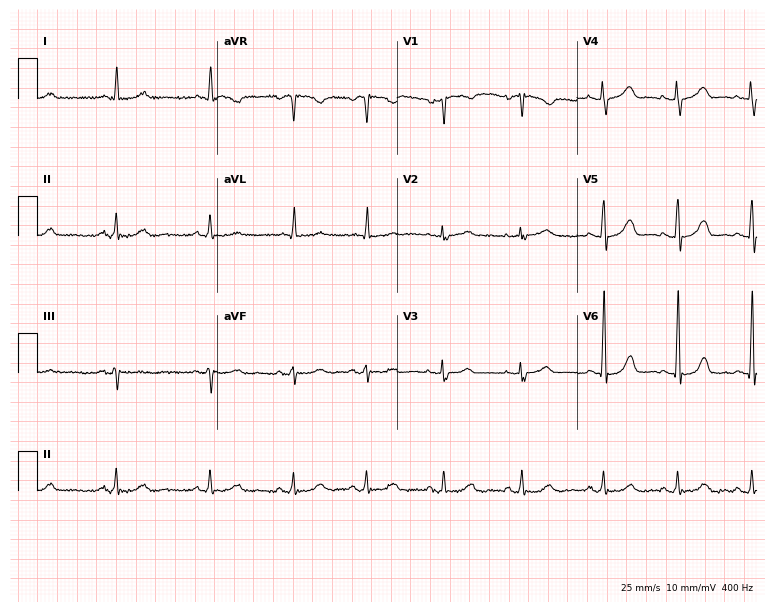
ECG — an 84-year-old woman. Screened for six findings — first-degree AV block, right bundle branch block (RBBB), left bundle branch block (LBBB), sinus bradycardia, atrial fibrillation (AF), sinus tachycardia — none is recorded.